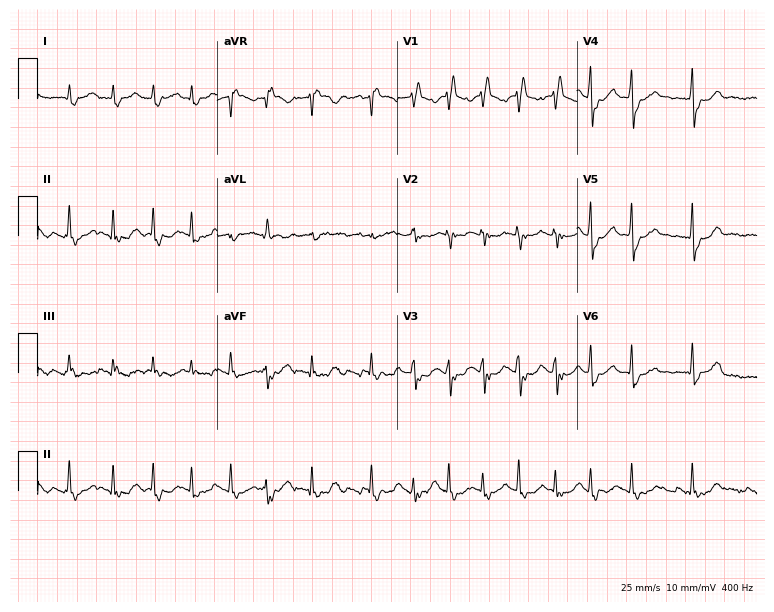
ECG (7.3-second recording at 400 Hz) — a 76-year-old male. Findings include right bundle branch block, atrial fibrillation, sinus tachycardia (a sinus rate of 100 beats per minute or more).